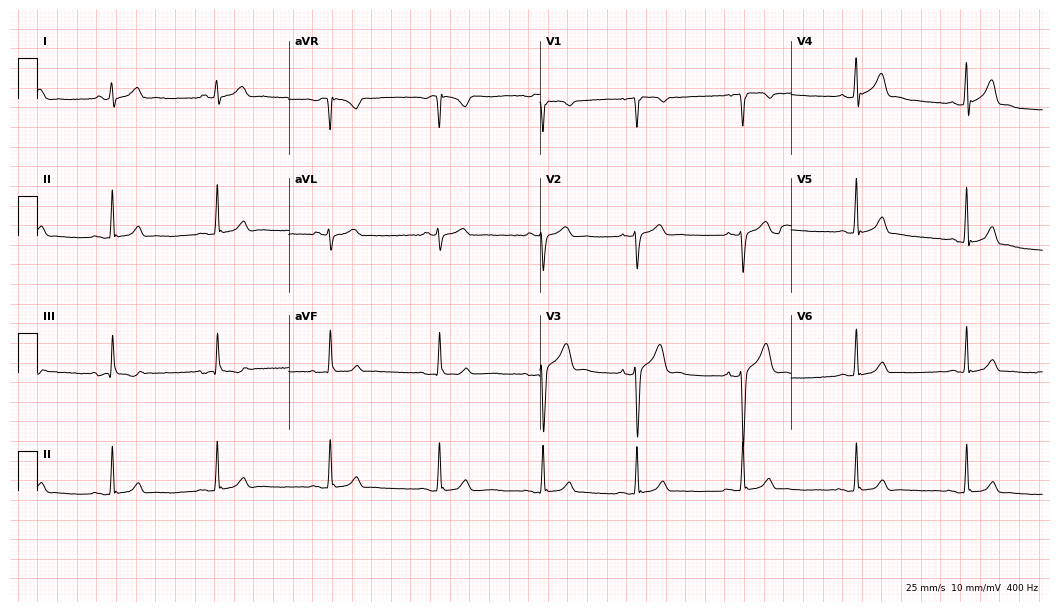
Electrocardiogram (10.2-second recording at 400 Hz), a male patient, 18 years old. Overall reading on record: normal ECG.